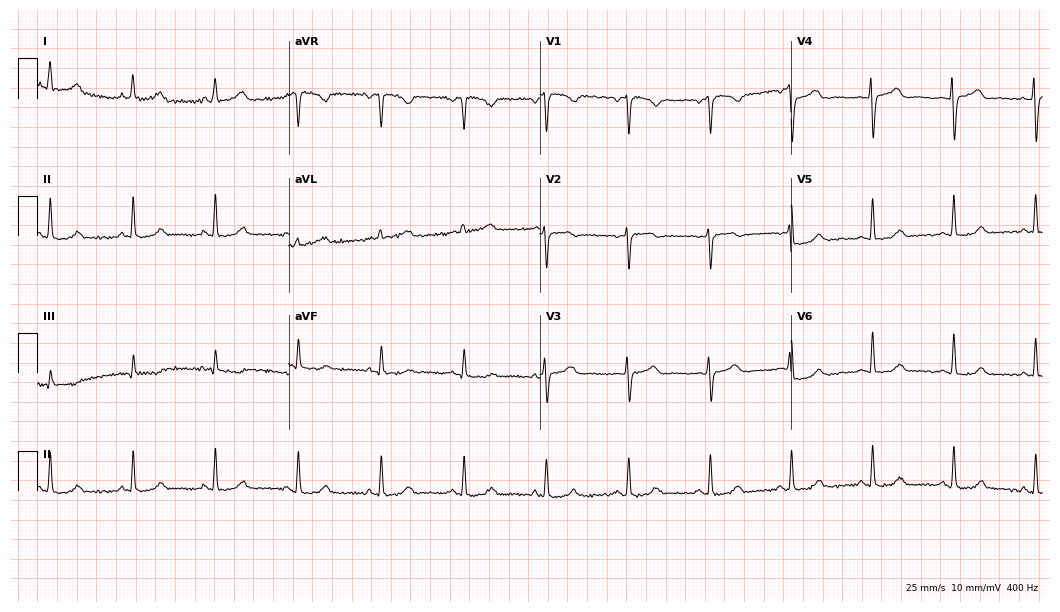
Resting 12-lead electrocardiogram (10.2-second recording at 400 Hz). Patient: a 62-year-old female. None of these six findings is recorded: first-degree AV block, right bundle branch block, left bundle branch block, sinus bradycardia, atrial fibrillation, sinus tachycardia.